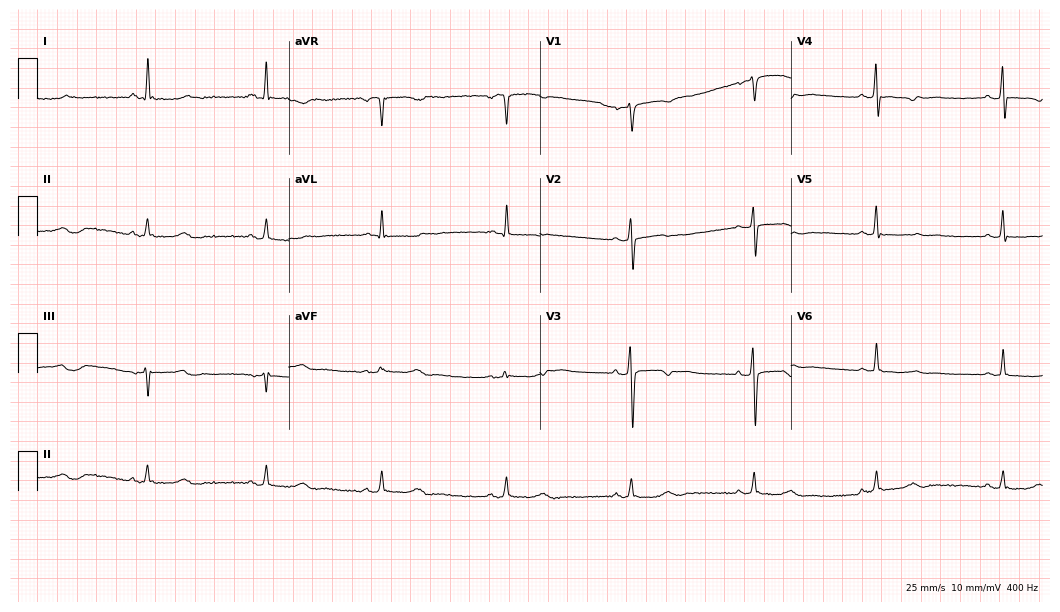
Standard 12-lead ECG recorded from a 59-year-old female patient (10.2-second recording at 400 Hz). The tracing shows sinus bradycardia (a sinus rate of 50 beats per minute or less).